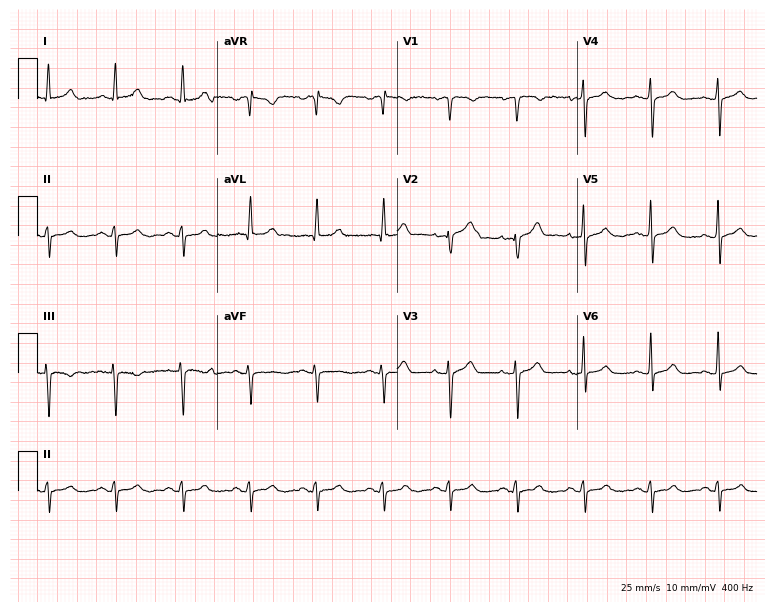
Electrocardiogram (7.3-second recording at 400 Hz), a male patient, 50 years old. Of the six screened findings (first-degree AV block, right bundle branch block (RBBB), left bundle branch block (LBBB), sinus bradycardia, atrial fibrillation (AF), sinus tachycardia), none is recorded. Findings outside these six are not listed.